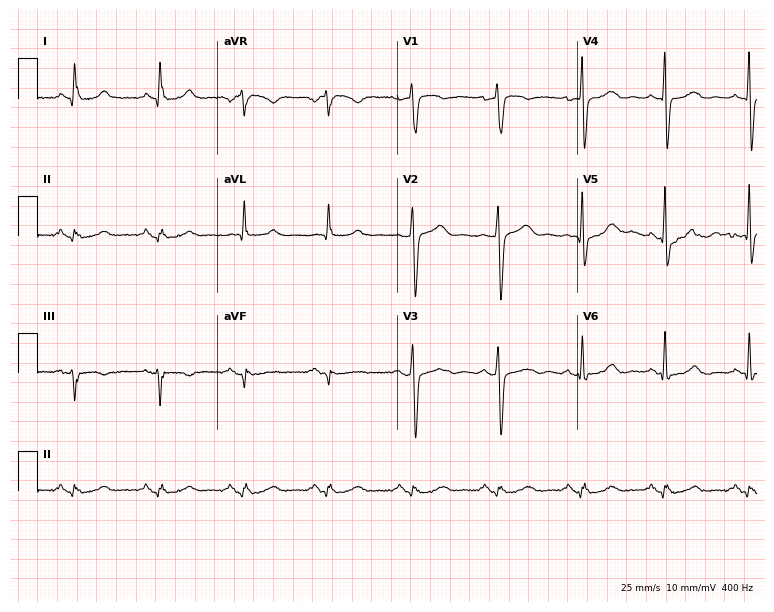
Standard 12-lead ECG recorded from a woman, 54 years old (7.3-second recording at 400 Hz). None of these six findings is recorded: first-degree AV block, right bundle branch block, left bundle branch block, sinus bradycardia, atrial fibrillation, sinus tachycardia.